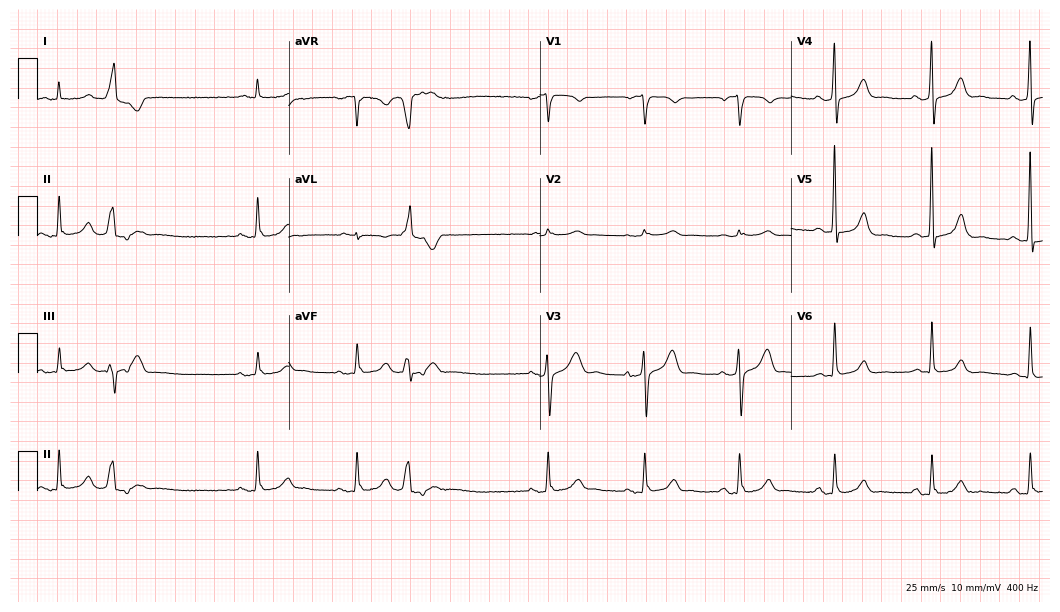
12-lead ECG from a male patient, 69 years old (10.2-second recording at 400 Hz). No first-degree AV block, right bundle branch block (RBBB), left bundle branch block (LBBB), sinus bradycardia, atrial fibrillation (AF) or sinus tachycardia recorded for this tracing. Only these six findings were labelled.